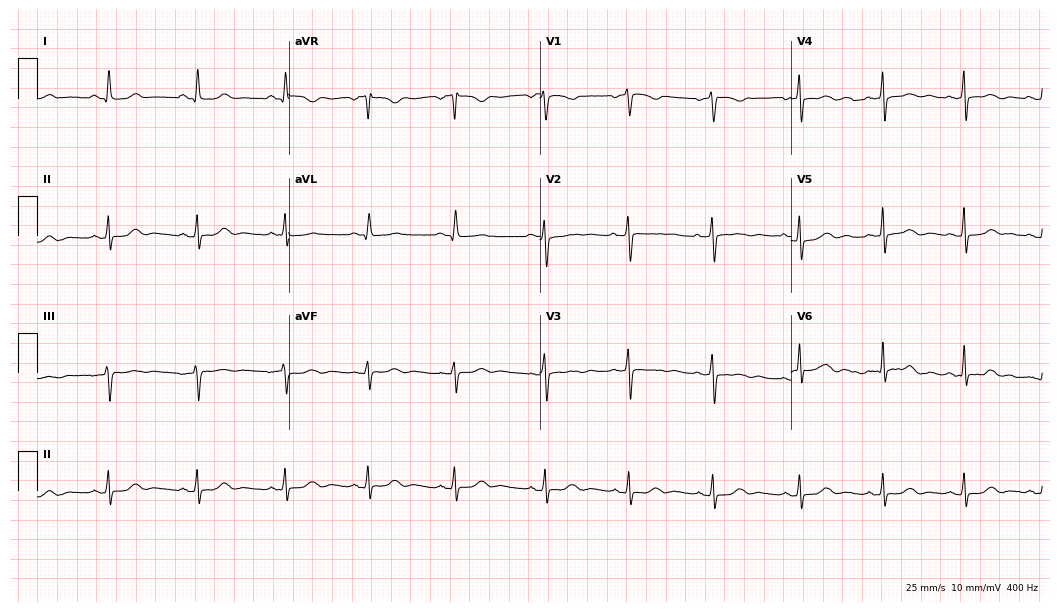
Electrocardiogram (10.2-second recording at 400 Hz), a 45-year-old female. Overall reading on record: normal ECG.